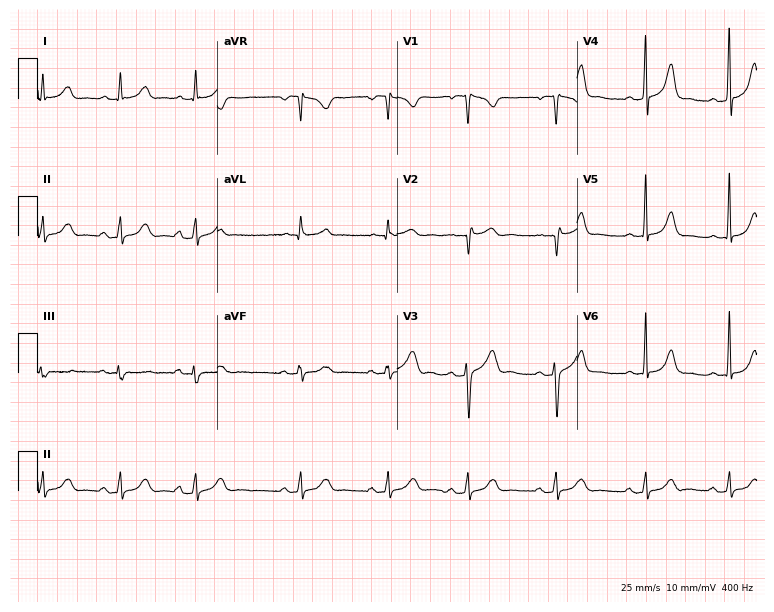
Standard 12-lead ECG recorded from a female patient, 30 years old (7.3-second recording at 400 Hz). None of these six findings is recorded: first-degree AV block, right bundle branch block (RBBB), left bundle branch block (LBBB), sinus bradycardia, atrial fibrillation (AF), sinus tachycardia.